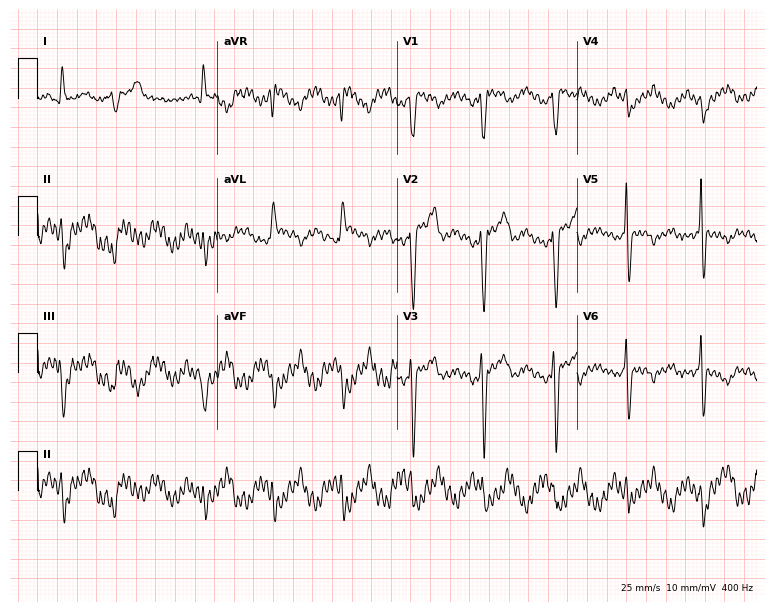
Resting 12-lead electrocardiogram (7.3-second recording at 400 Hz). Patient: a male, 60 years old. None of these six findings is recorded: first-degree AV block, right bundle branch block, left bundle branch block, sinus bradycardia, atrial fibrillation, sinus tachycardia.